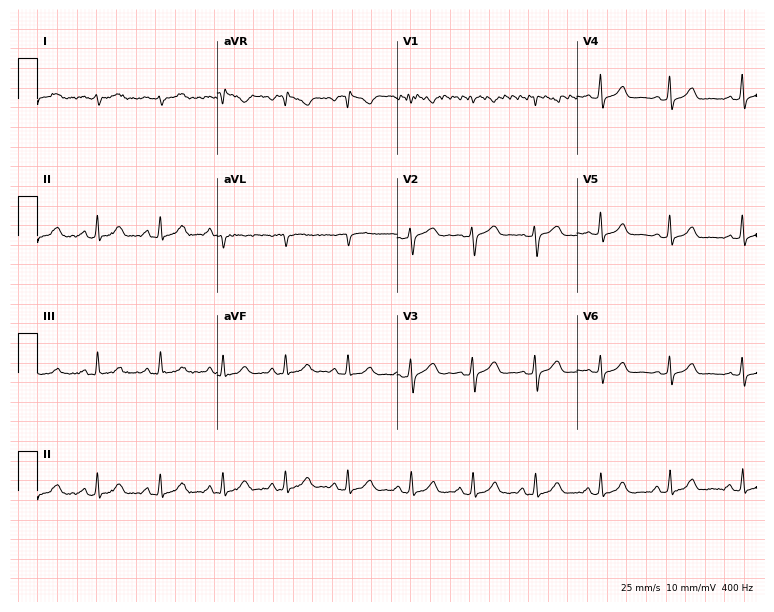
Electrocardiogram, a woman, 43 years old. Of the six screened findings (first-degree AV block, right bundle branch block (RBBB), left bundle branch block (LBBB), sinus bradycardia, atrial fibrillation (AF), sinus tachycardia), none is recorded. Findings outside these six are not listed.